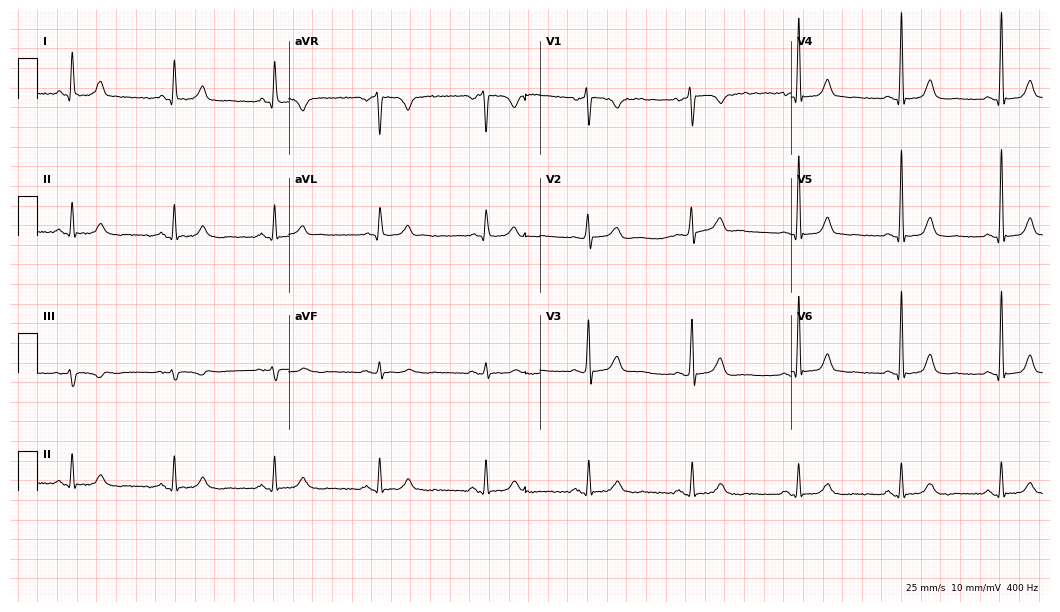
Resting 12-lead electrocardiogram (10.2-second recording at 400 Hz). Patient: a female, 63 years old. Read as a normal ECG.